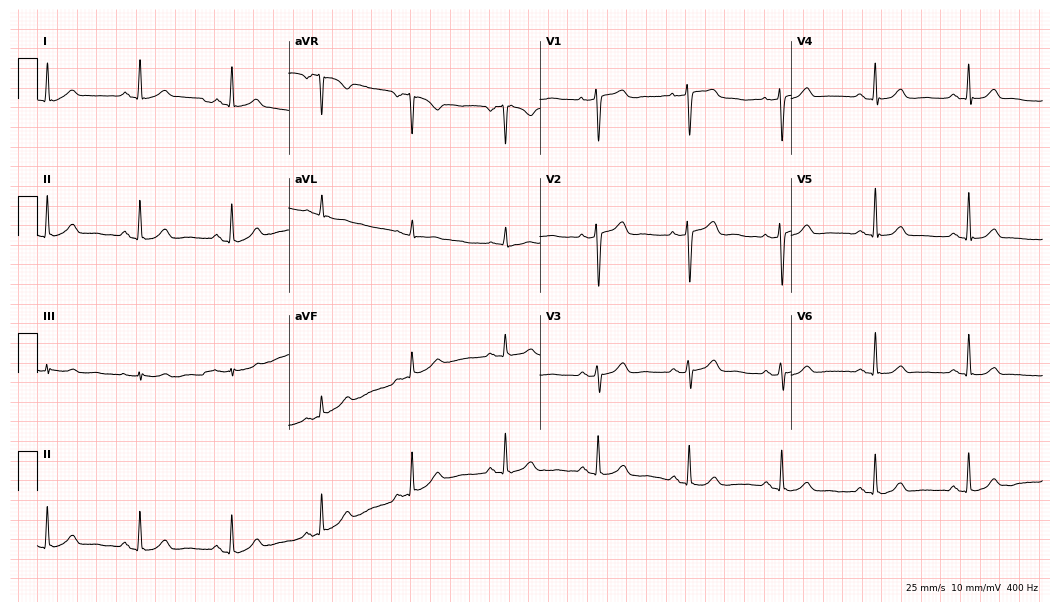
ECG — a 55-year-old female patient. Screened for six findings — first-degree AV block, right bundle branch block, left bundle branch block, sinus bradycardia, atrial fibrillation, sinus tachycardia — none is recorded. Other findings, if any, are not listed.